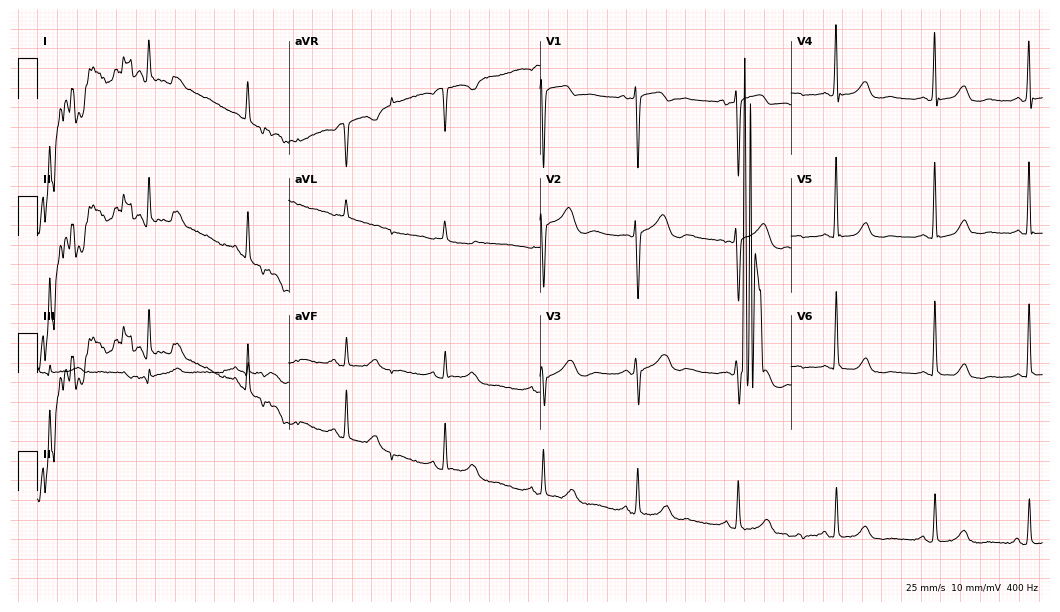
Electrocardiogram, an 87-year-old woman. Of the six screened findings (first-degree AV block, right bundle branch block, left bundle branch block, sinus bradycardia, atrial fibrillation, sinus tachycardia), none is recorded. Other findings, if any, are not listed.